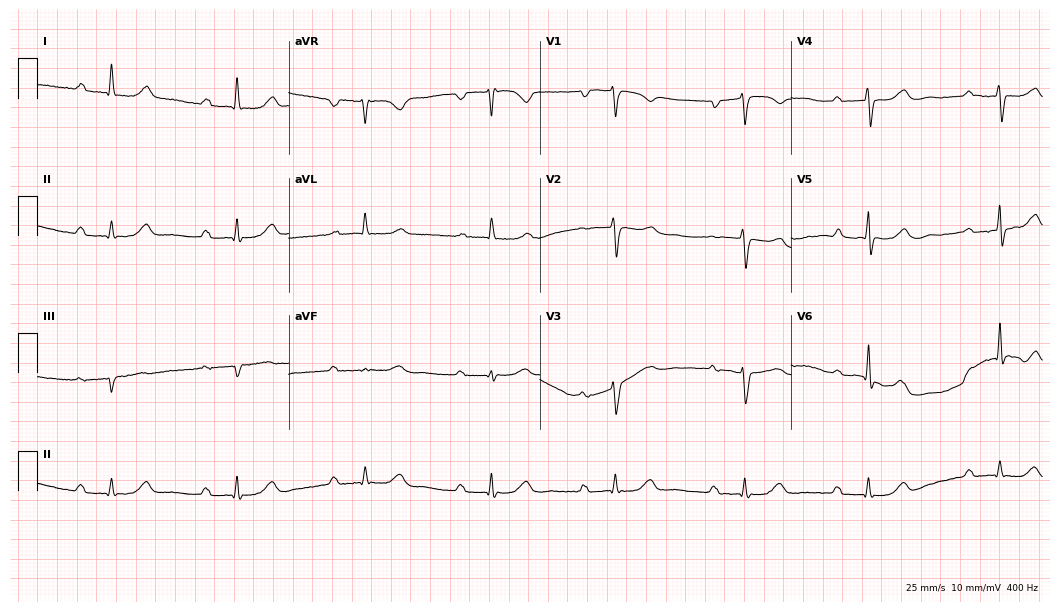
Resting 12-lead electrocardiogram. Patient: a female, 65 years old. The tracing shows first-degree AV block, right bundle branch block.